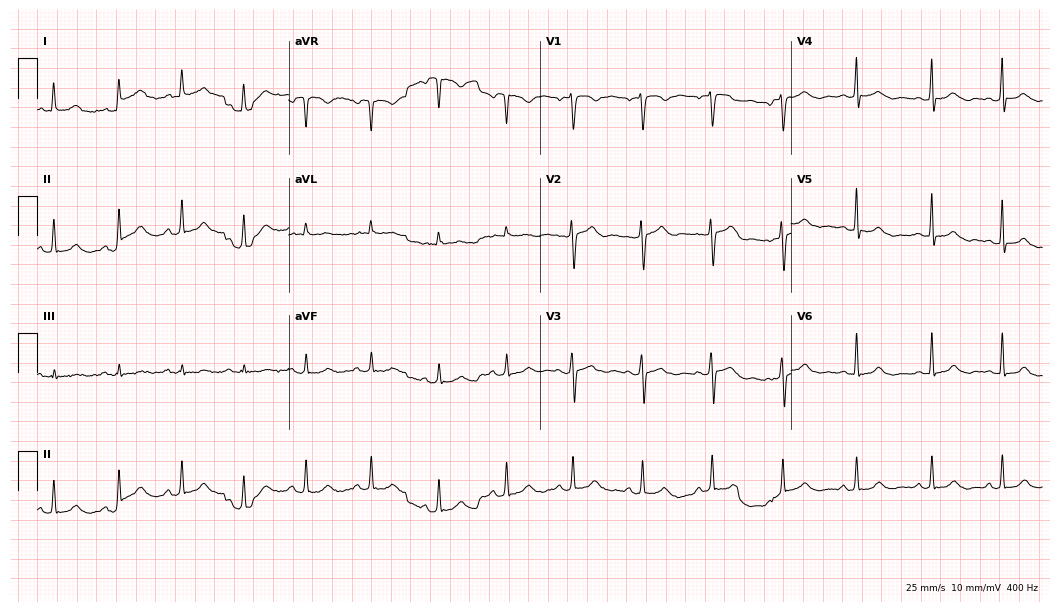
12-lead ECG from a 31-year-old woman. Labelled as a normal ECG.